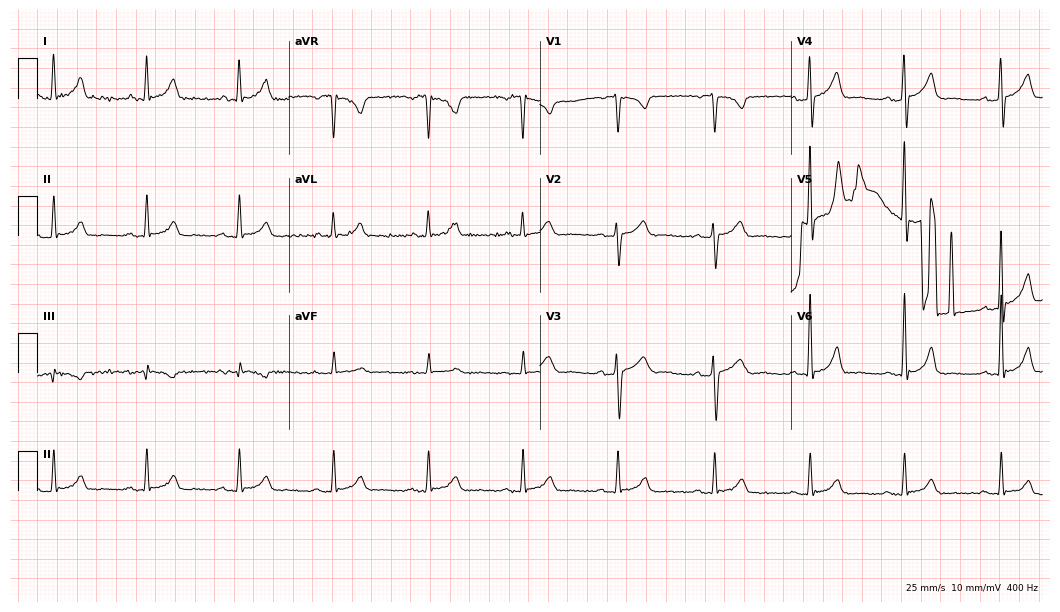
ECG — a male patient, 48 years old. Labelled as a normal ECG.